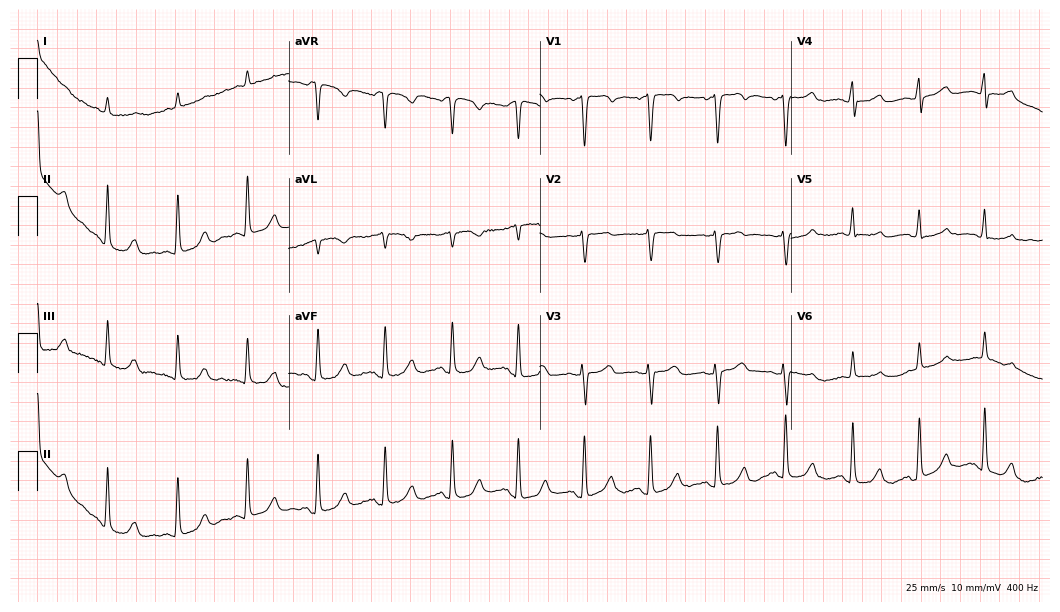
12-lead ECG (10.2-second recording at 400 Hz) from a 57-year-old male patient. Labelled as a normal ECG.